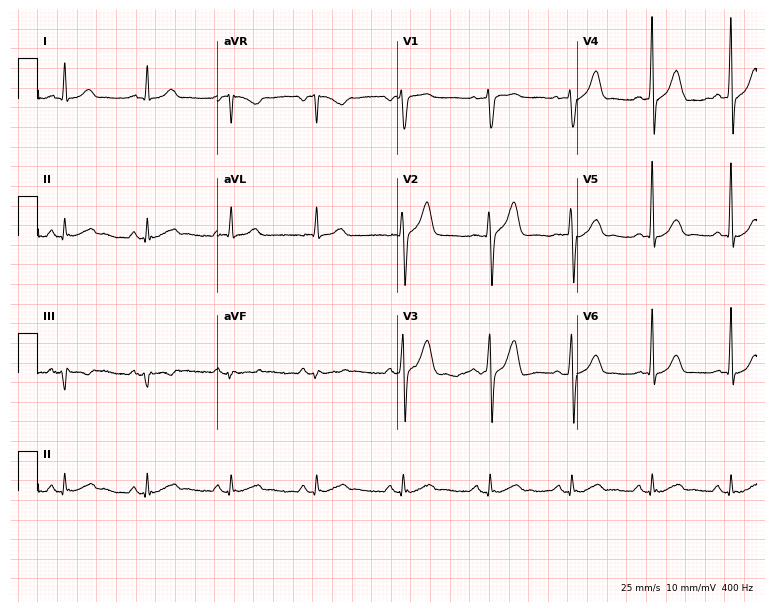
Electrocardiogram, a 47-year-old man. Of the six screened findings (first-degree AV block, right bundle branch block, left bundle branch block, sinus bradycardia, atrial fibrillation, sinus tachycardia), none is recorded. Only these six findings were labelled.